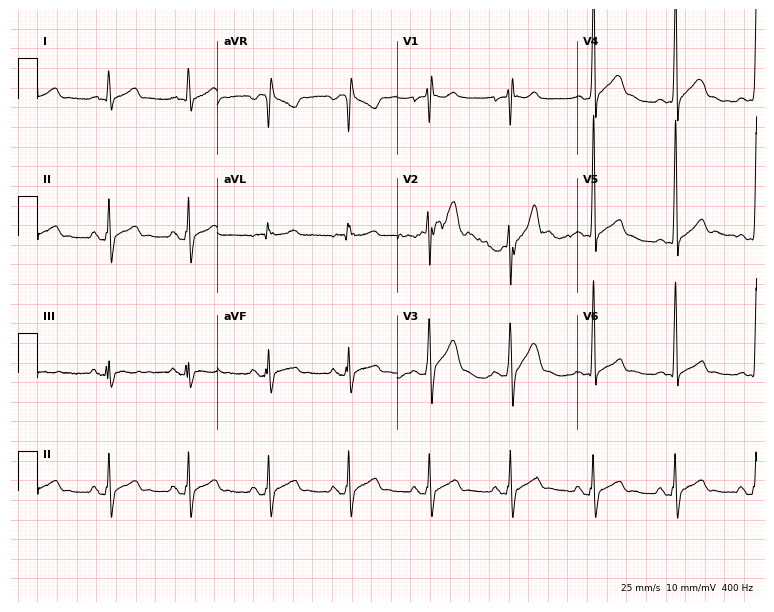
12-lead ECG (7.3-second recording at 400 Hz) from a male, 27 years old. Labelled as a normal ECG.